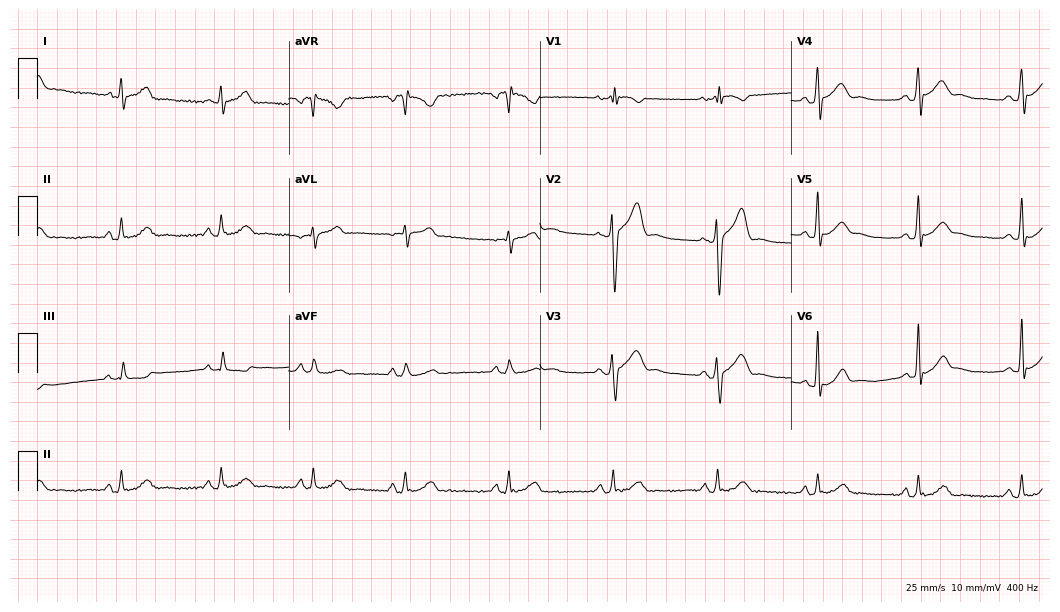
Electrocardiogram, a 34-year-old male. Of the six screened findings (first-degree AV block, right bundle branch block, left bundle branch block, sinus bradycardia, atrial fibrillation, sinus tachycardia), none is recorded. Only these six findings were labelled.